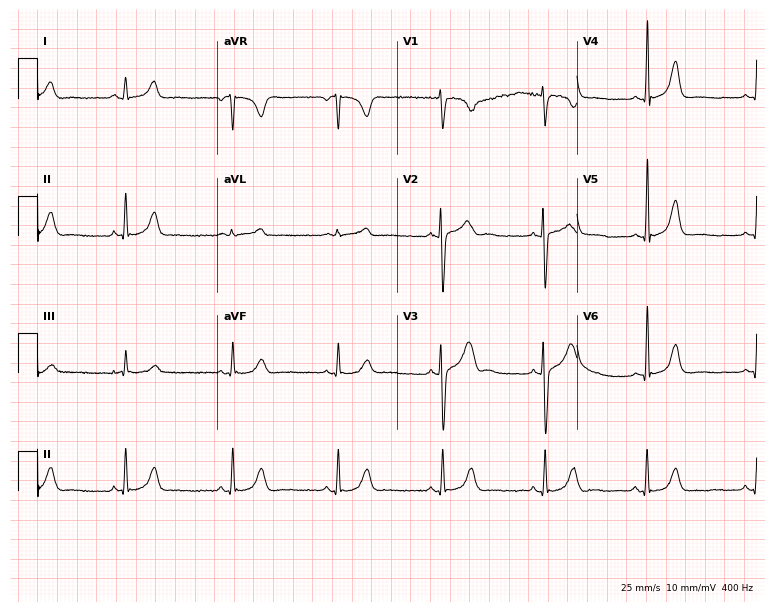
Resting 12-lead electrocardiogram. Patient: a 32-year-old woman. Read as a normal ECG.